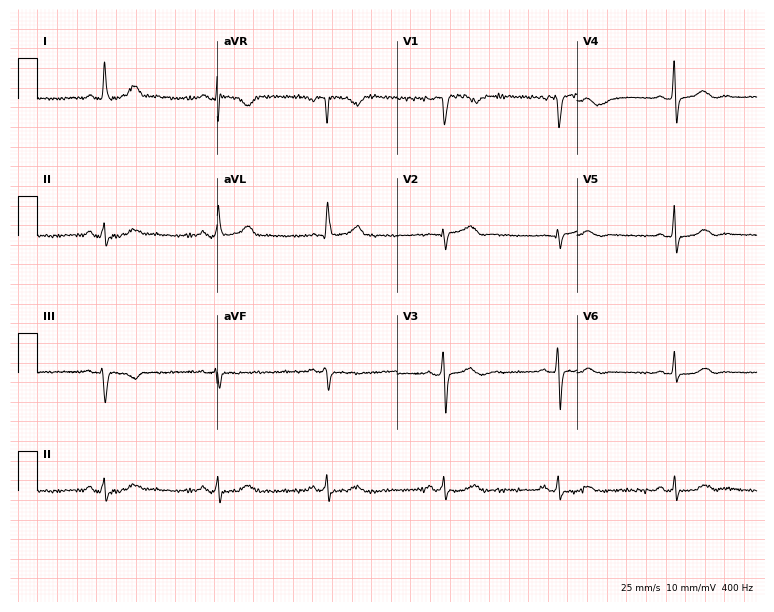
Resting 12-lead electrocardiogram. Patient: a 51-year-old male. Read as a normal ECG.